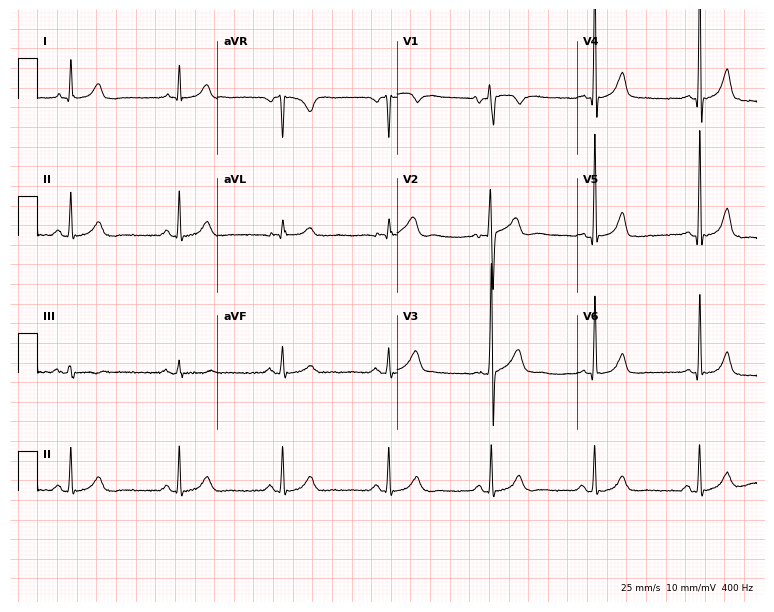
Electrocardiogram (7.3-second recording at 400 Hz), a male, 38 years old. Overall reading on record: normal ECG.